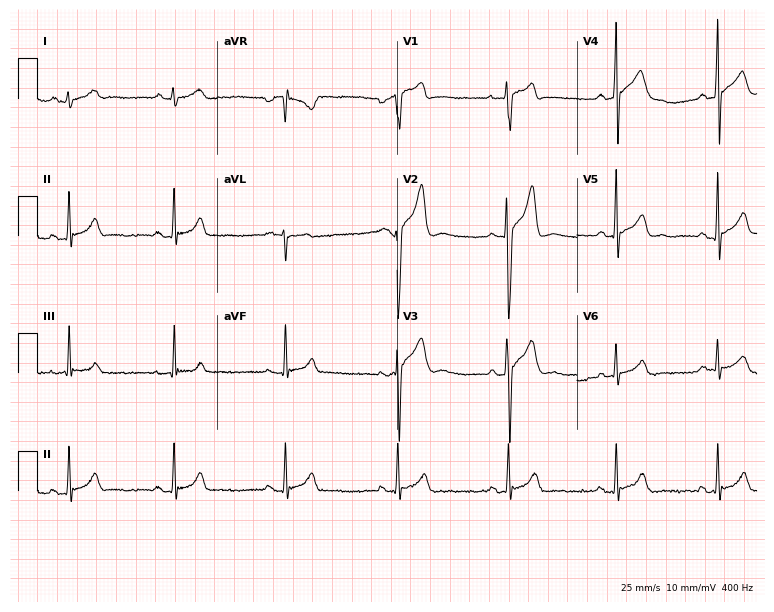
ECG — a 28-year-old man. Screened for six findings — first-degree AV block, right bundle branch block, left bundle branch block, sinus bradycardia, atrial fibrillation, sinus tachycardia — none is recorded. Other findings, if any, are not listed.